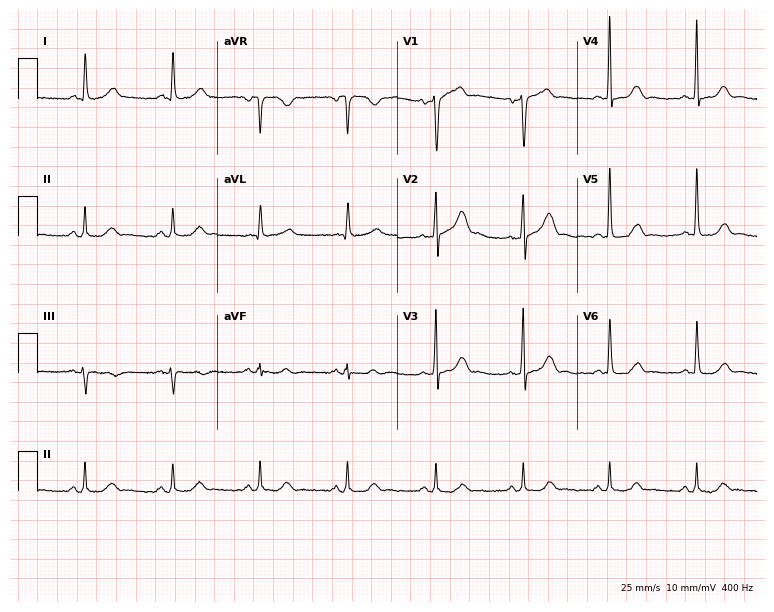
12-lead ECG from a 72-year-old man (7.3-second recording at 400 Hz). Recorded interpretation: within normal limits.